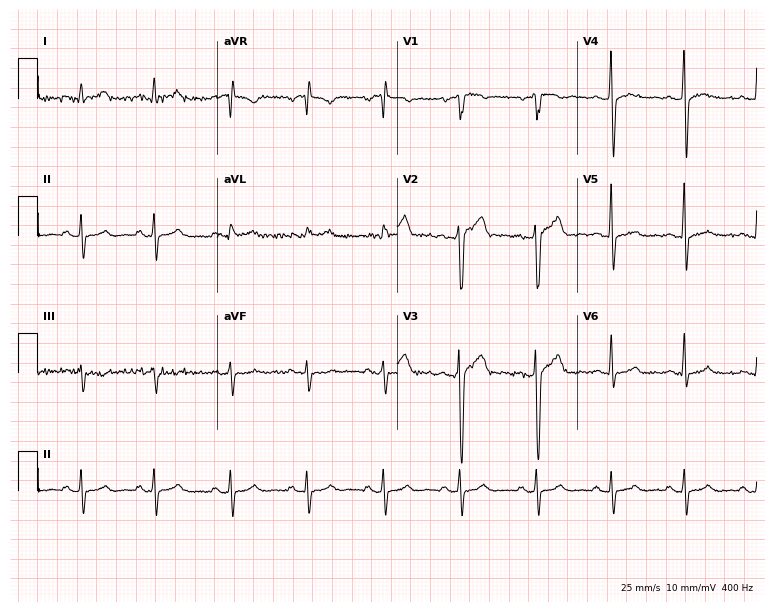
ECG — a male, 28 years old. Screened for six findings — first-degree AV block, right bundle branch block, left bundle branch block, sinus bradycardia, atrial fibrillation, sinus tachycardia — none is recorded. Only these six findings were labelled.